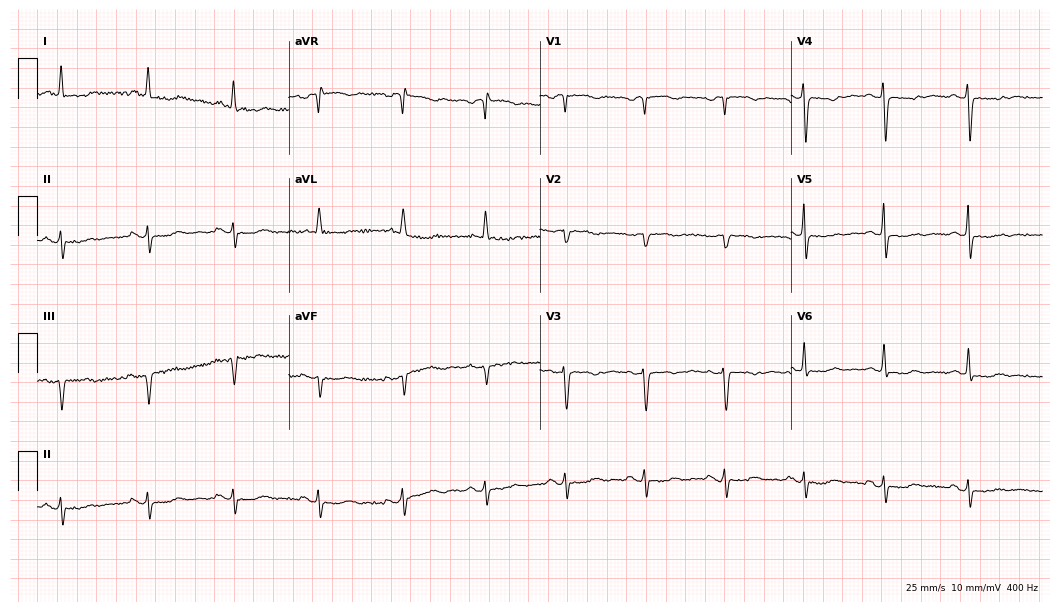
12-lead ECG from a female, 78 years old (10.2-second recording at 400 Hz). No first-degree AV block, right bundle branch block, left bundle branch block, sinus bradycardia, atrial fibrillation or sinus tachycardia recorded for this tracing. Other findings, if any, are not listed.